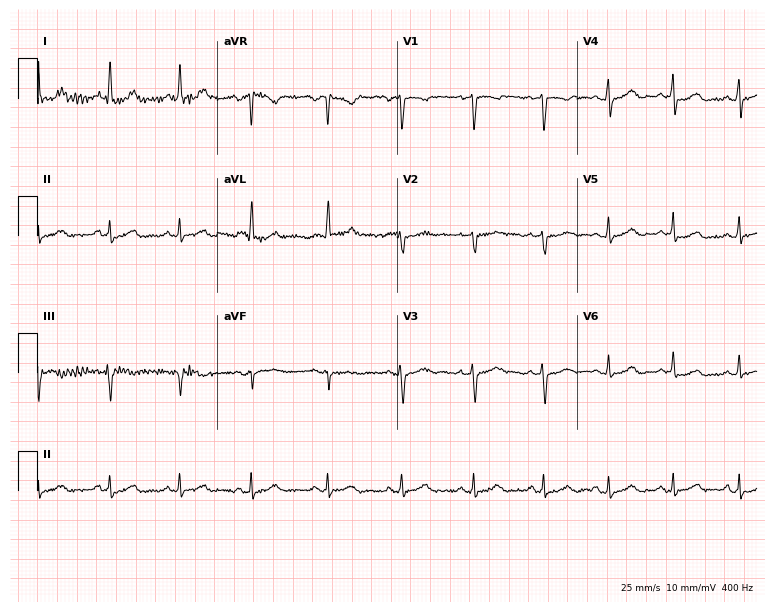
12-lead ECG from a 28-year-old woman. Screened for six findings — first-degree AV block, right bundle branch block, left bundle branch block, sinus bradycardia, atrial fibrillation, sinus tachycardia — none is recorded.